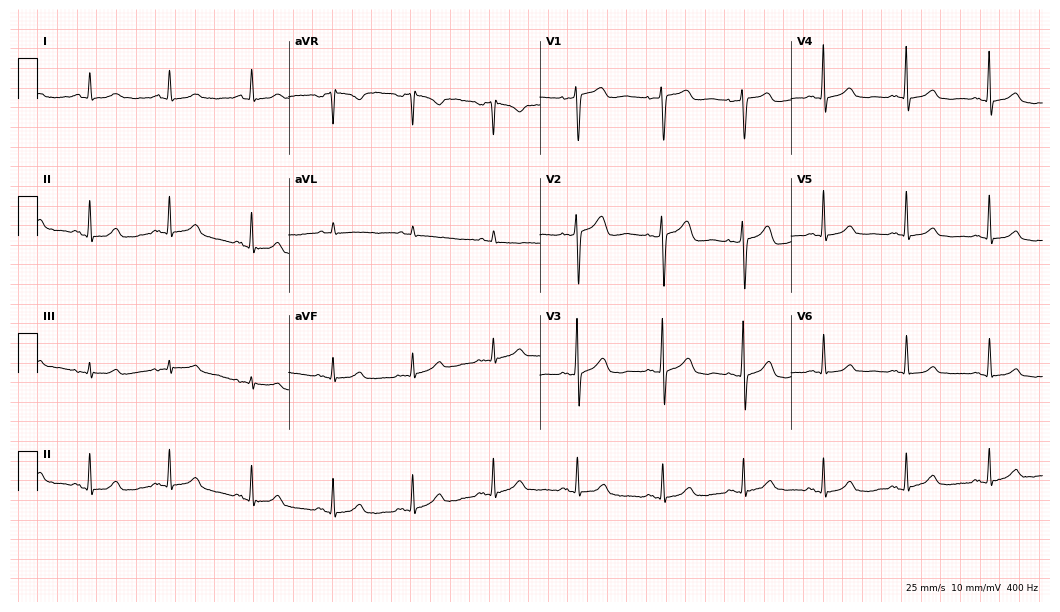
ECG (10.2-second recording at 400 Hz) — a 64-year-old female patient. Labelled as a normal ECG.